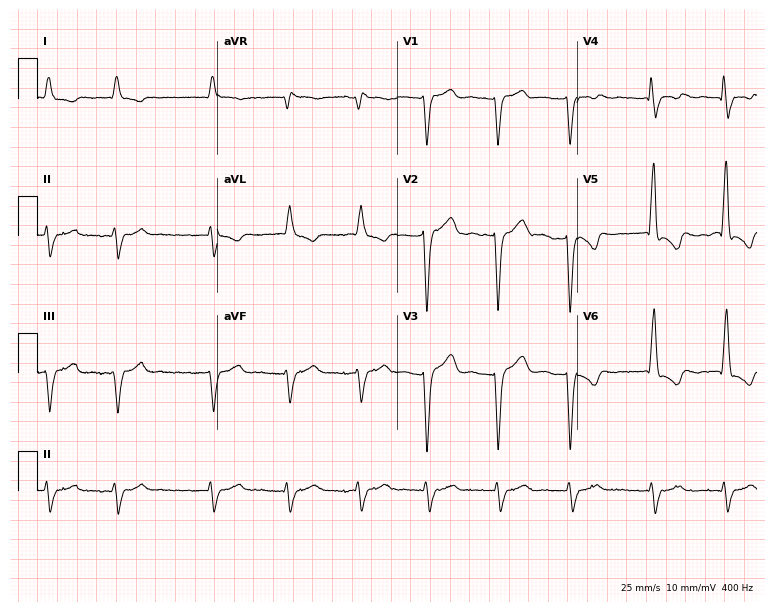
Resting 12-lead electrocardiogram (7.3-second recording at 400 Hz). Patient: an 80-year-old male. The tracing shows left bundle branch block (LBBB), atrial fibrillation (AF).